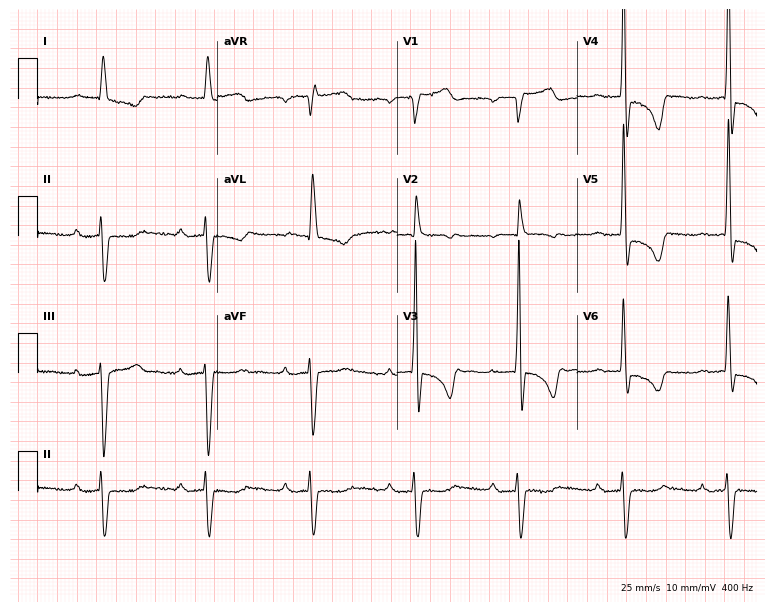
ECG (7.3-second recording at 400 Hz) — an 82-year-old man. Findings include first-degree AV block.